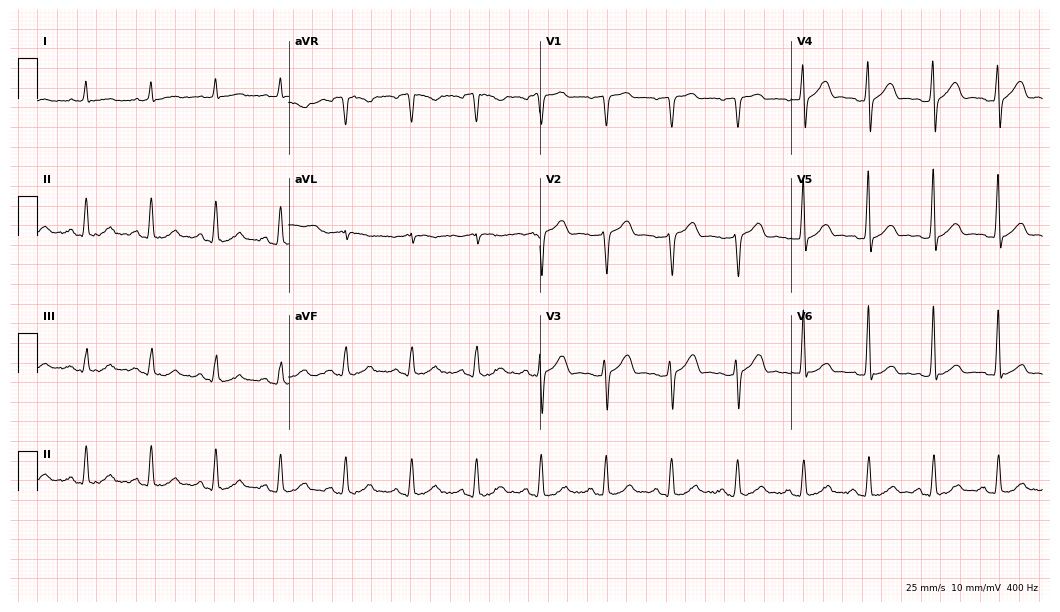
Electrocardiogram (10.2-second recording at 400 Hz), a male patient, 72 years old. Of the six screened findings (first-degree AV block, right bundle branch block (RBBB), left bundle branch block (LBBB), sinus bradycardia, atrial fibrillation (AF), sinus tachycardia), none is recorded.